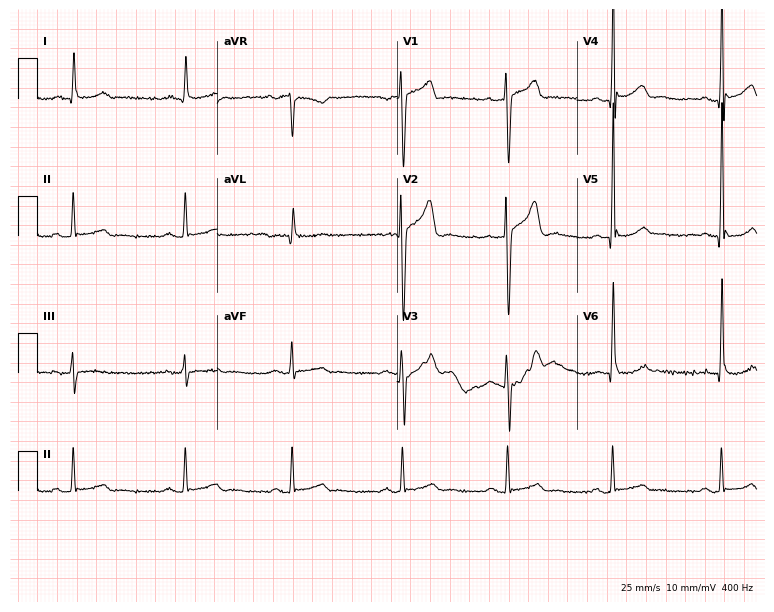
12-lead ECG from a male, 63 years old. No first-degree AV block, right bundle branch block, left bundle branch block, sinus bradycardia, atrial fibrillation or sinus tachycardia recorded for this tracing. Other findings, if any, are not listed.